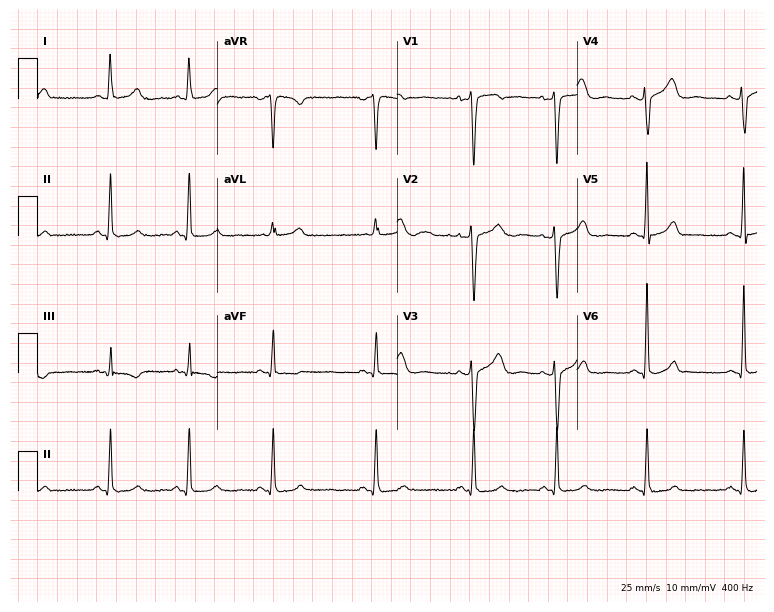
12-lead ECG from a 27-year-old female patient. No first-degree AV block, right bundle branch block (RBBB), left bundle branch block (LBBB), sinus bradycardia, atrial fibrillation (AF) or sinus tachycardia recorded for this tracing.